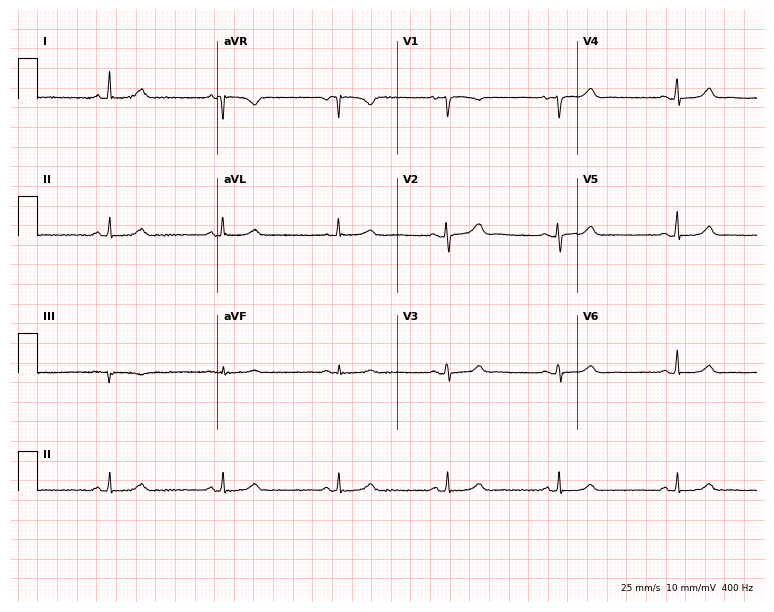
12-lead ECG from a 50-year-old female patient. Labelled as a normal ECG.